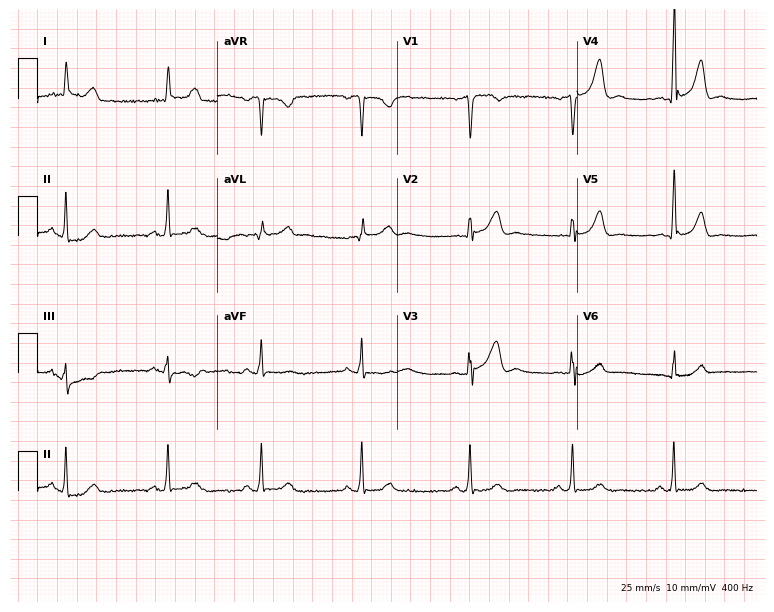
Electrocardiogram, a male patient, 45 years old. Of the six screened findings (first-degree AV block, right bundle branch block, left bundle branch block, sinus bradycardia, atrial fibrillation, sinus tachycardia), none is recorded.